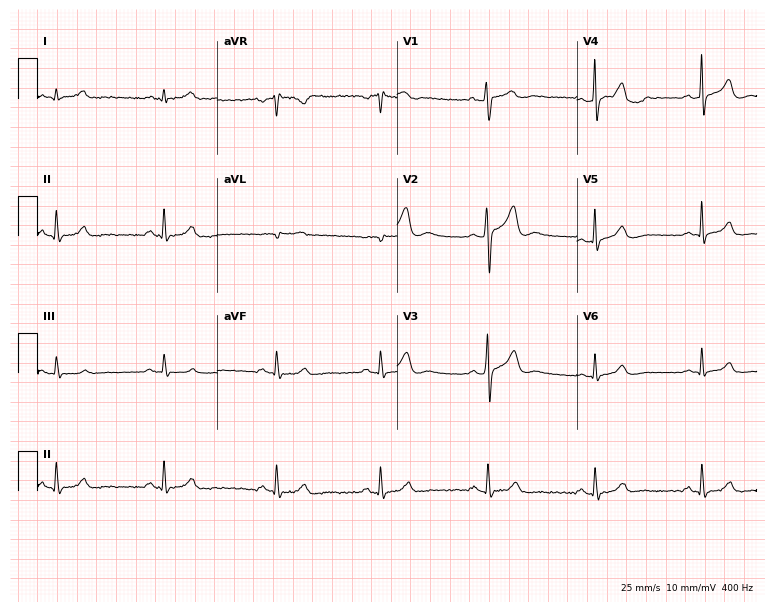
12-lead ECG from a 41-year-old male. No first-degree AV block, right bundle branch block (RBBB), left bundle branch block (LBBB), sinus bradycardia, atrial fibrillation (AF) or sinus tachycardia recorded for this tracing. Only these six findings were labelled.